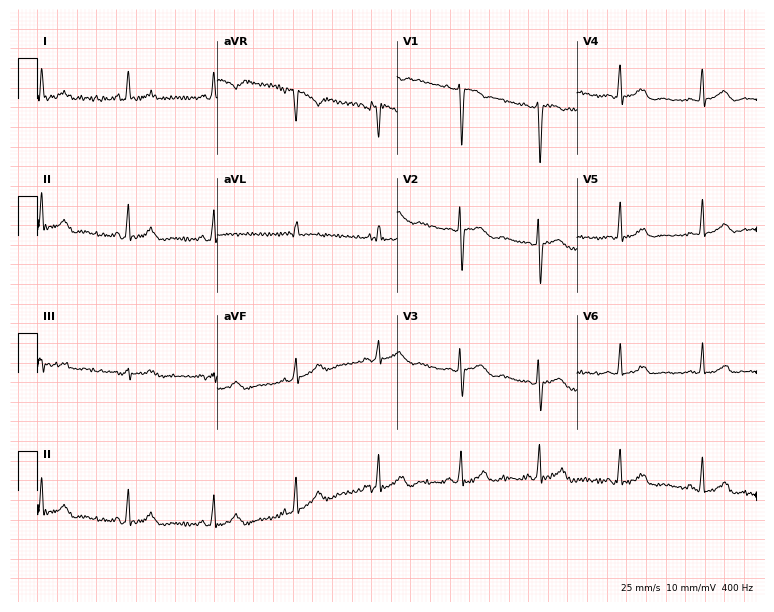
Electrocardiogram, a woman, 26 years old. Of the six screened findings (first-degree AV block, right bundle branch block, left bundle branch block, sinus bradycardia, atrial fibrillation, sinus tachycardia), none is recorded. Only these six findings were labelled.